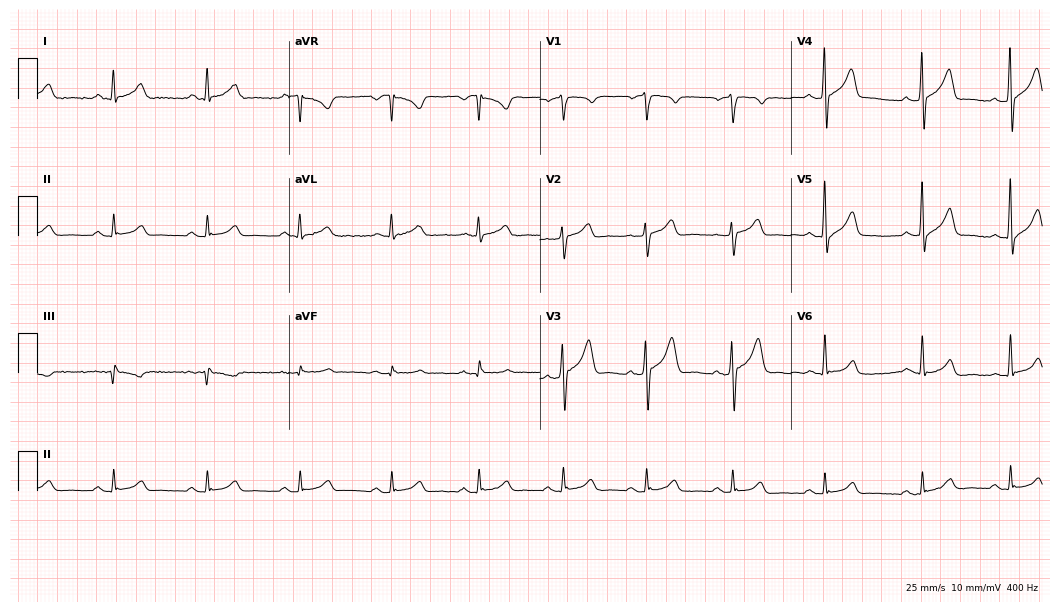
12-lead ECG (10.2-second recording at 400 Hz) from a 38-year-old male. Labelled as a normal ECG.